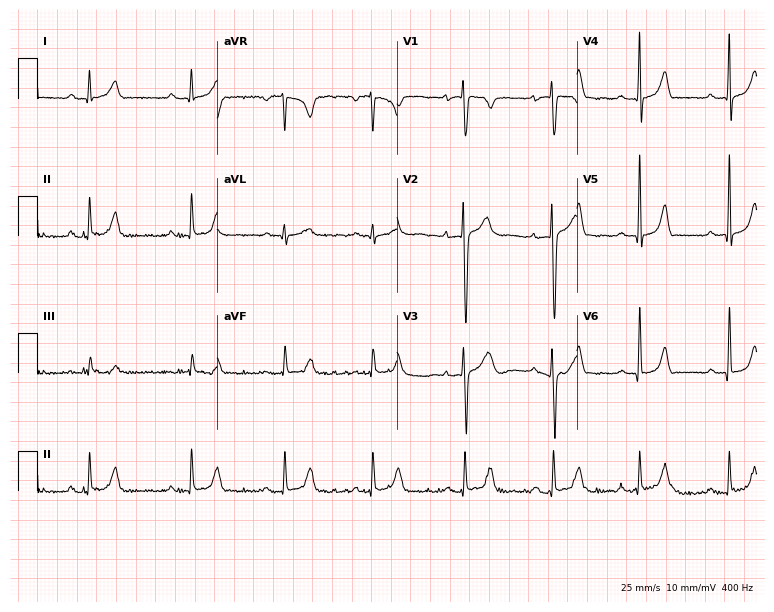
12-lead ECG from a male, 35 years old (7.3-second recording at 400 Hz). No first-degree AV block, right bundle branch block (RBBB), left bundle branch block (LBBB), sinus bradycardia, atrial fibrillation (AF) or sinus tachycardia recorded for this tracing.